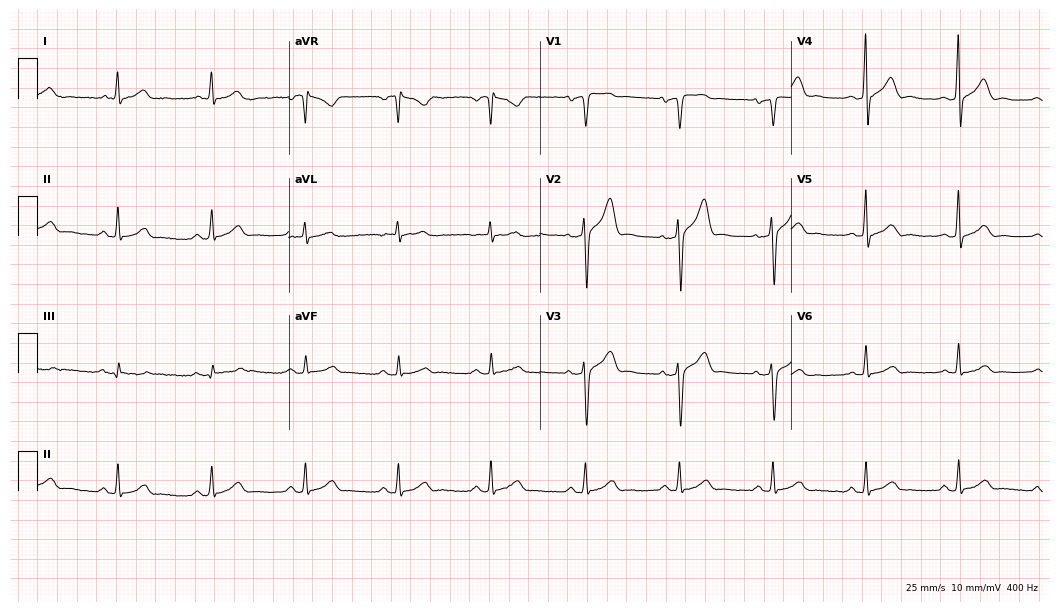
Electrocardiogram, a male, 61 years old. Overall reading on record: normal ECG.